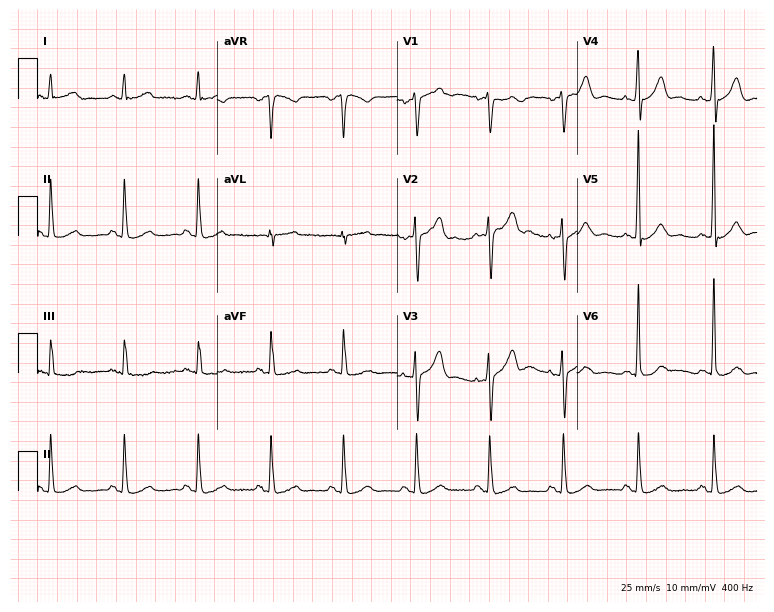
Electrocardiogram (7.3-second recording at 400 Hz), a 62-year-old woman. Overall reading on record: normal ECG.